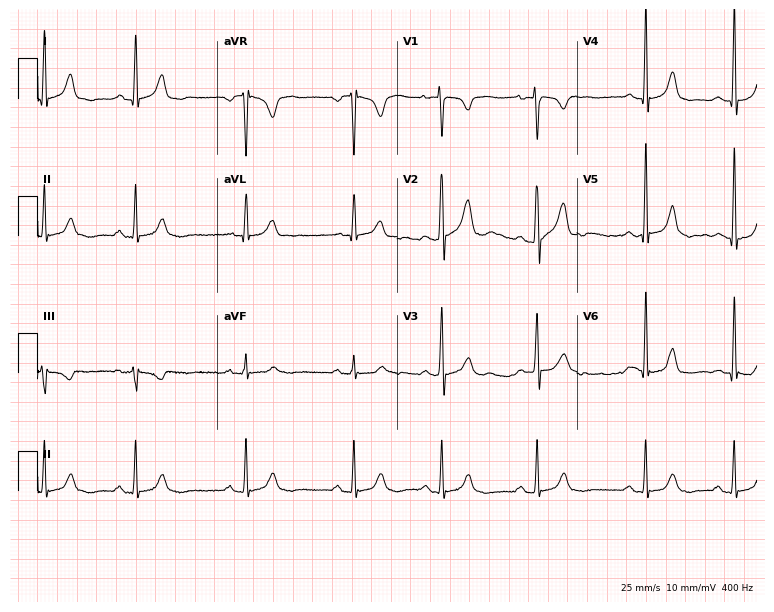
Standard 12-lead ECG recorded from a woman, 18 years old. Read as a normal ECG.